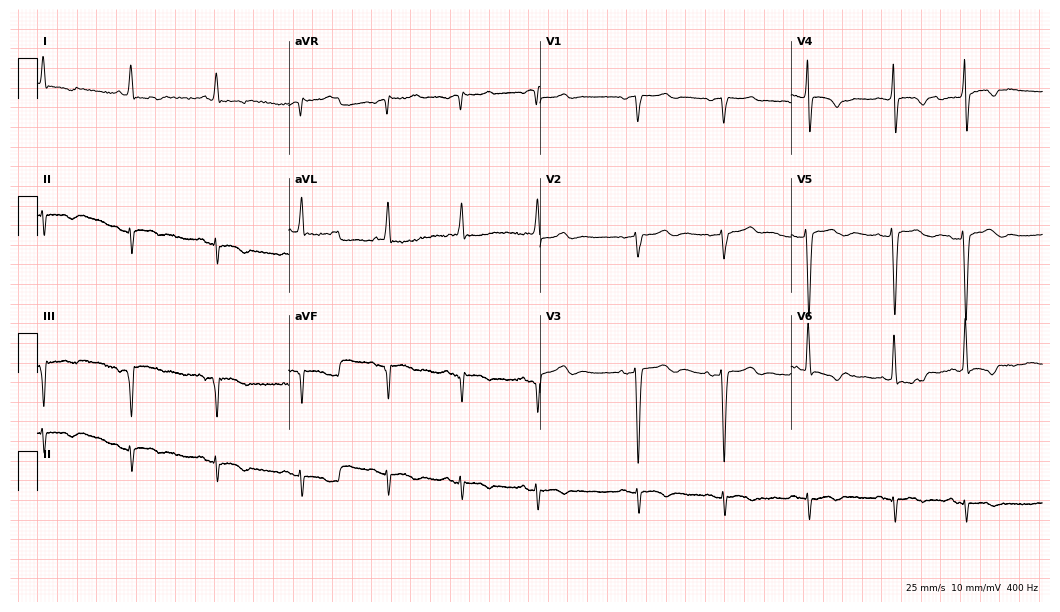
12-lead ECG from a 70-year-old female. Screened for six findings — first-degree AV block, right bundle branch block (RBBB), left bundle branch block (LBBB), sinus bradycardia, atrial fibrillation (AF), sinus tachycardia — none is recorded. Other findings, if any, are not listed.